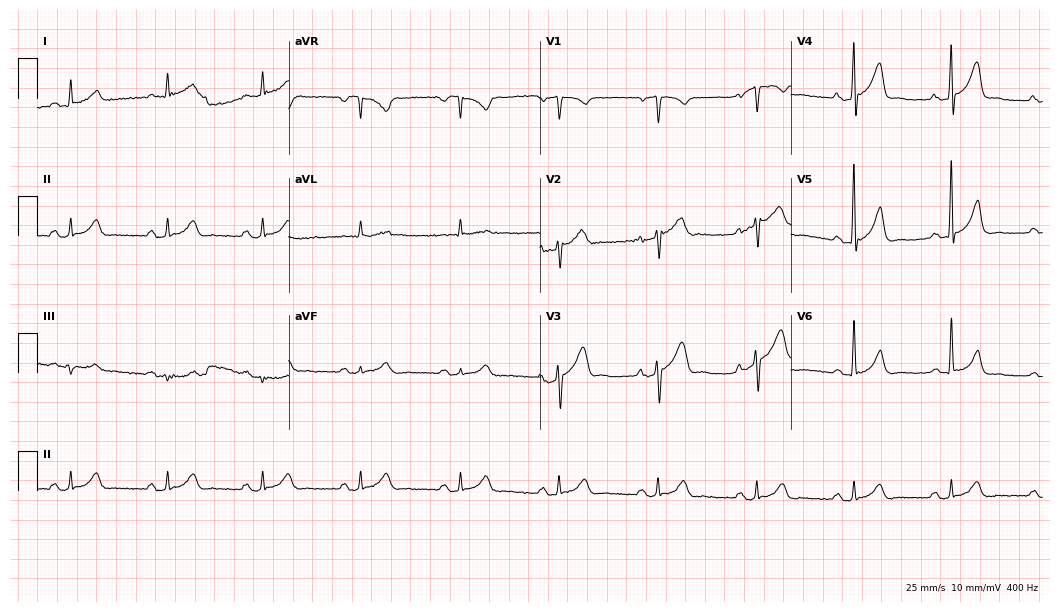
ECG (10.2-second recording at 400 Hz) — a 64-year-old male patient. Labelled as a normal ECG.